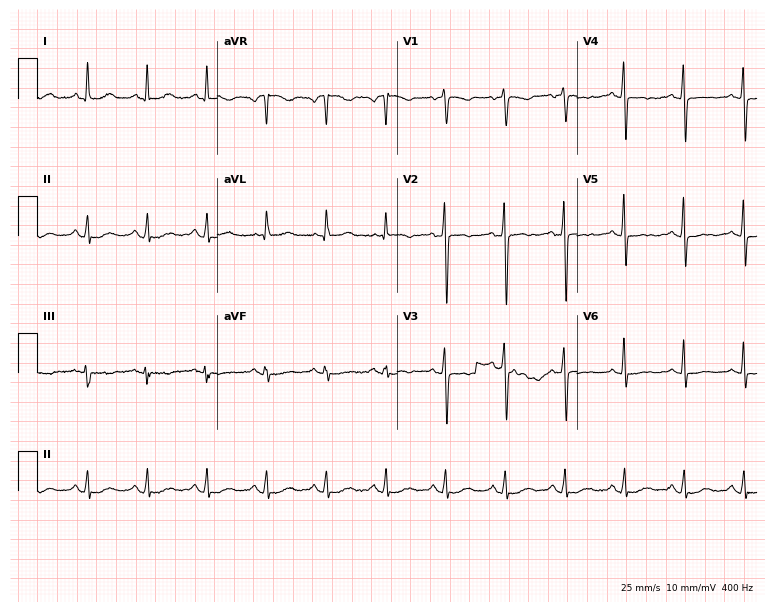
Electrocardiogram (7.3-second recording at 400 Hz), a 68-year-old woman. Of the six screened findings (first-degree AV block, right bundle branch block, left bundle branch block, sinus bradycardia, atrial fibrillation, sinus tachycardia), none is recorded.